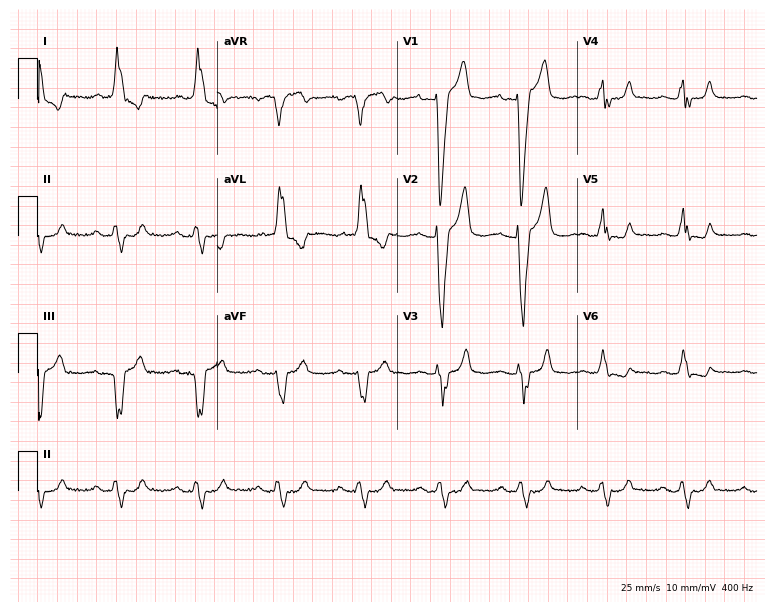
ECG — a female, 73 years old. Screened for six findings — first-degree AV block, right bundle branch block (RBBB), left bundle branch block (LBBB), sinus bradycardia, atrial fibrillation (AF), sinus tachycardia — none is recorded.